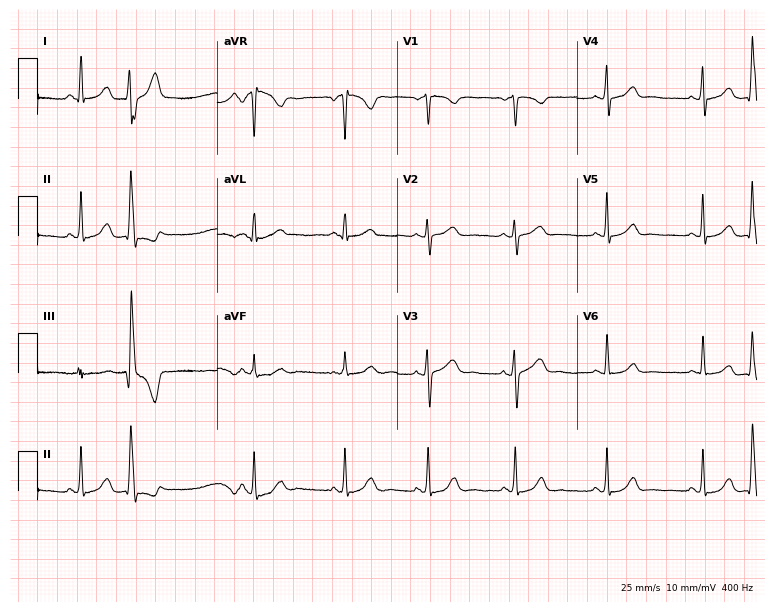
Electrocardiogram, a 39-year-old female. Of the six screened findings (first-degree AV block, right bundle branch block, left bundle branch block, sinus bradycardia, atrial fibrillation, sinus tachycardia), none is recorded.